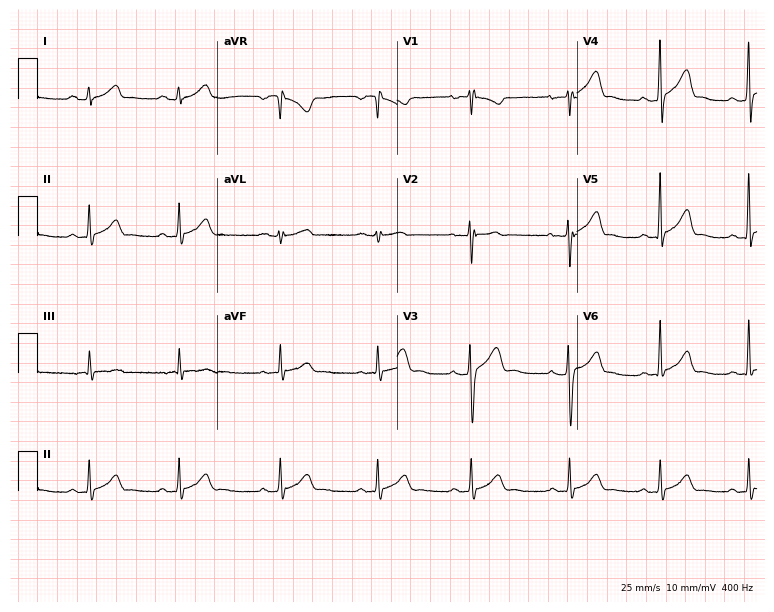
Resting 12-lead electrocardiogram. Patient: a man, 24 years old. Read as a normal ECG.